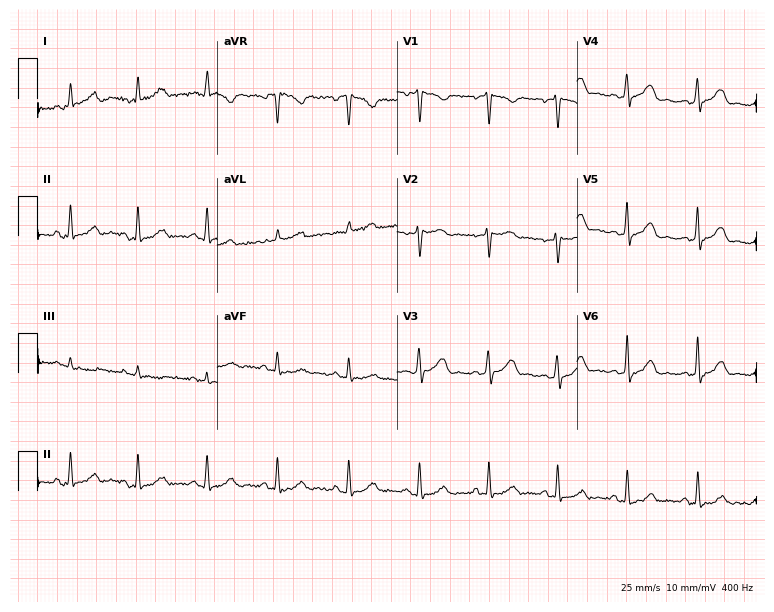
Resting 12-lead electrocardiogram. Patient: a woman, 29 years old. None of these six findings is recorded: first-degree AV block, right bundle branch block, left bundle branch block, sinus bradycardia, atrial fibrillation, sinus tachycardia.